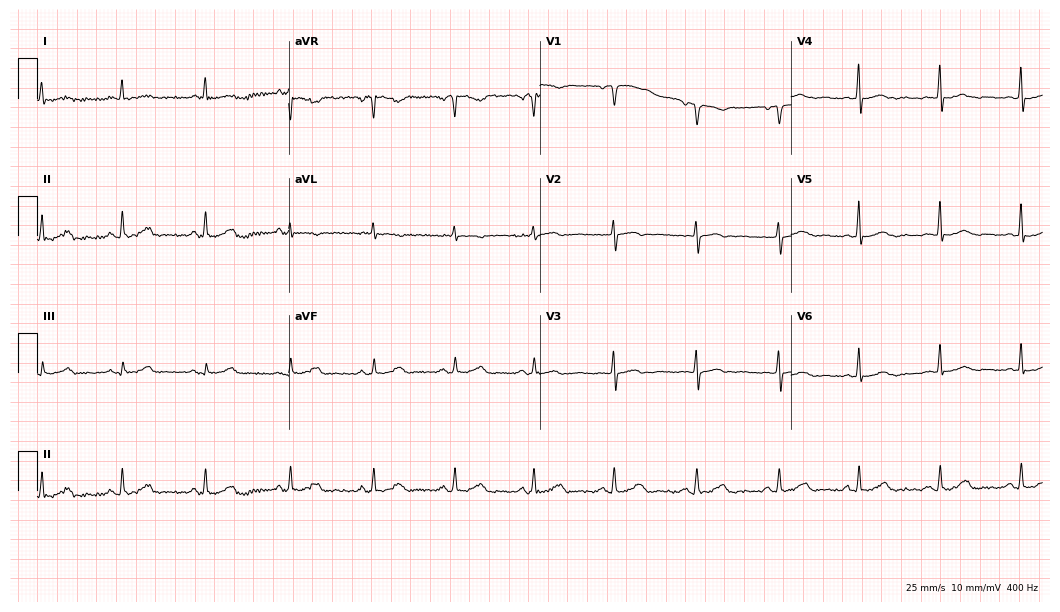
Electrocardiogram, a 50-year-old female. Of the six screened findings (first-degree AV block, right bundle branch block, left bundle branch block, sinus bradycardia, atrial fibrillation, sinus tachycardia), none is recorded. Findings outside these six are not listed.